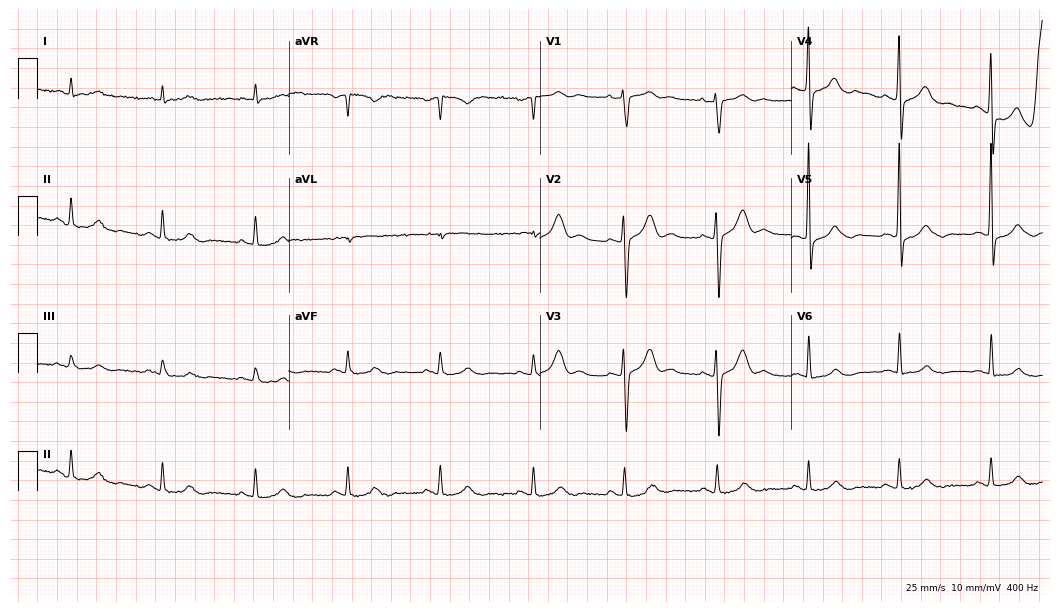
12-lead ECG (10.2-second recording at 400 Hz) from a male patient, 79 years old. Screened for six findings — first-degree AV block, right bundle branch block, left bundle branch block, sinus bradycardia, atrial fibrillation, sinus tachycardia — none is recorded. Other findings, if any, are not listed.